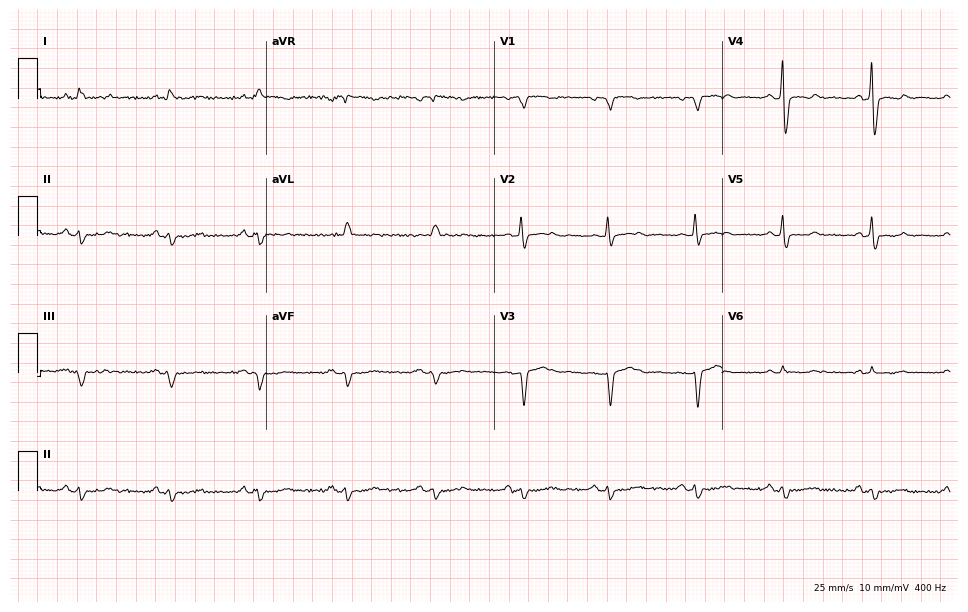
Standard 12-lead ECG recorded from a 70-year-old man (9.3-second recording at 400 Hz). None of these six findings is recorded: first-degree AV block, right bundle branch block, left bundle branch block, sinus bradycardia, atrial fibrillation, sinus tachycardia. Only these six findings were labelled.